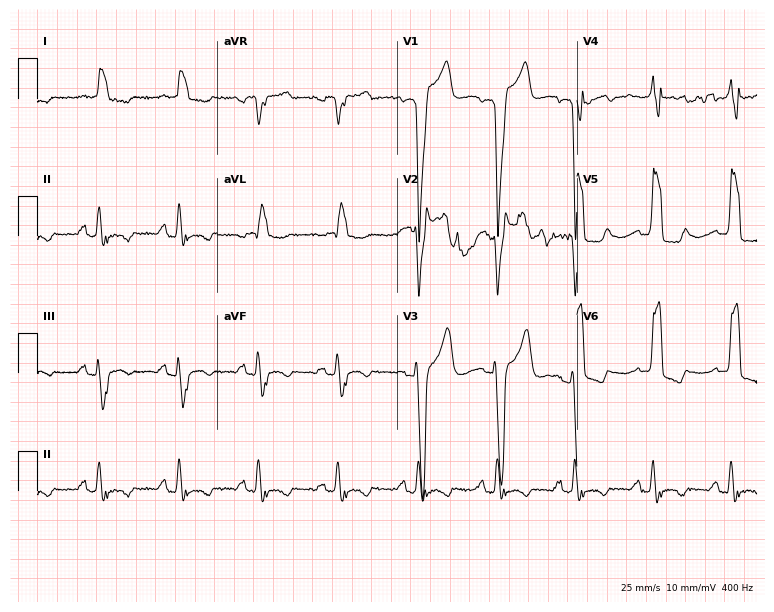
Electrocardiogram (7.3-second recording at 400 Hz), a female, 76 years old. Interpretation includes left bundle branch block (LBBB).